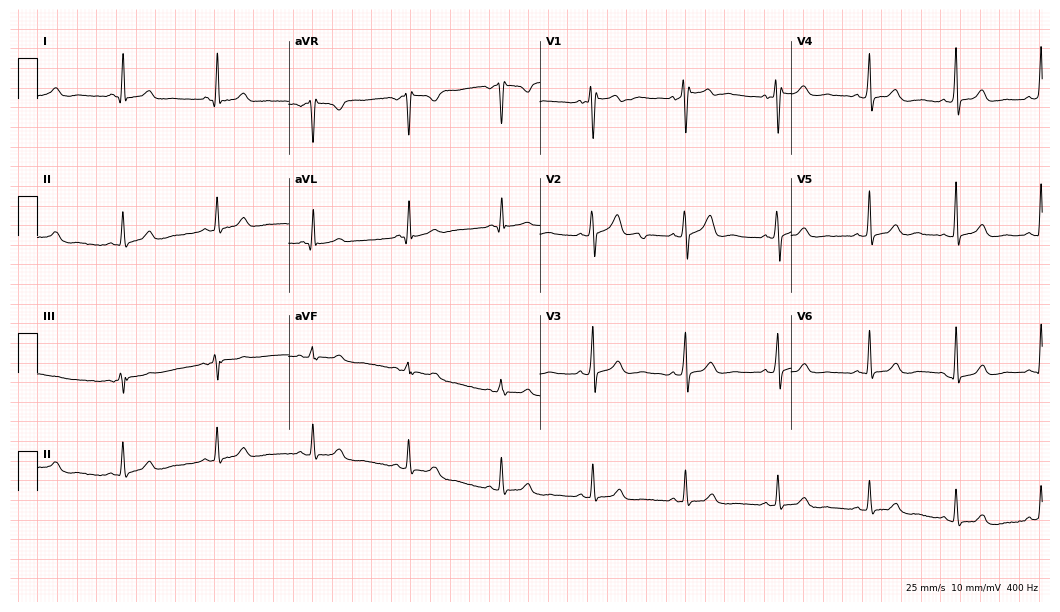
12-lead ECG from a man, 52 years old. Screened for six findings — first-degree AV block, right bundle branch block, left bundle branch block, sinus bradycardia, atrial fibrillation, sinus tachycardia — none is recorded.